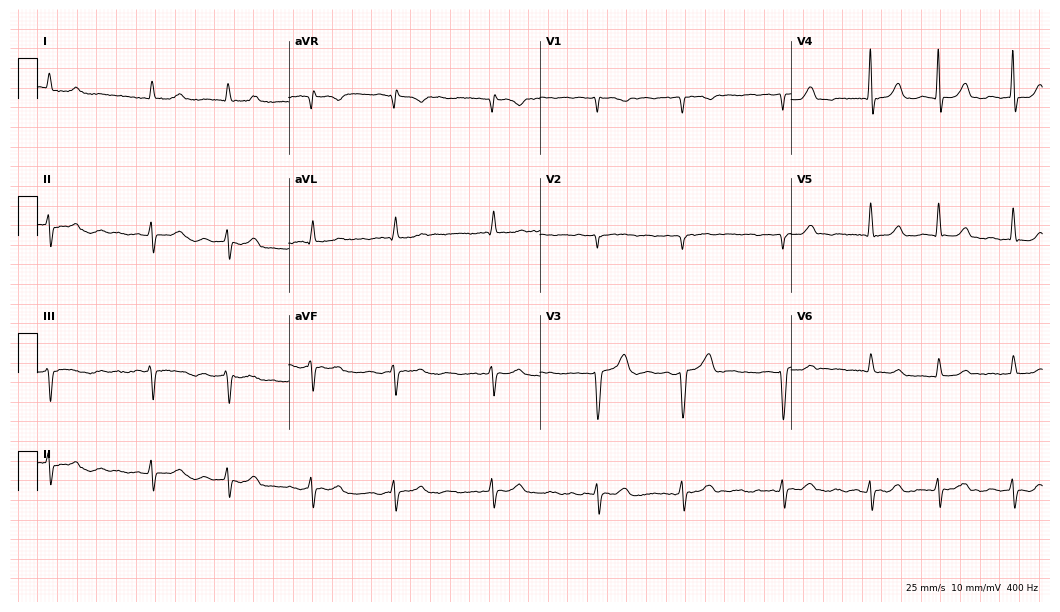
Resting 12-lead electrocardiogram (10.2-second recording at 400 Hz). Patient: an 84-year-old male. The tracing shows atrial fibrillation.